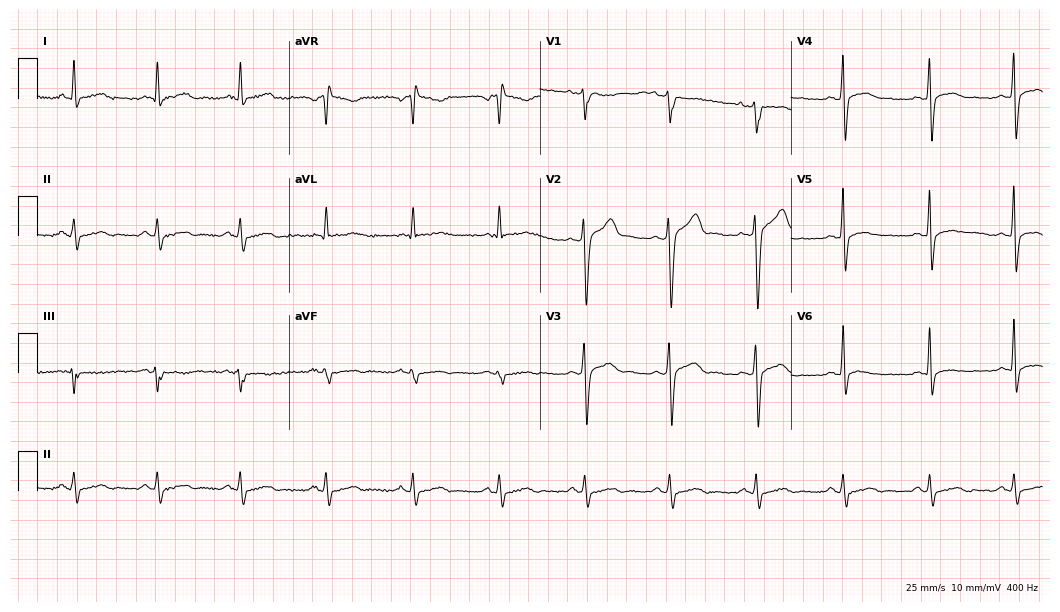
Electrocardiogram, a 43-year-old man. Of the six screened findings (first-degree AV block, right bundle branch block, left bundle branch block, sinus bradycardia, atrial fibrillation, sinus tachycardia), none is recorded.